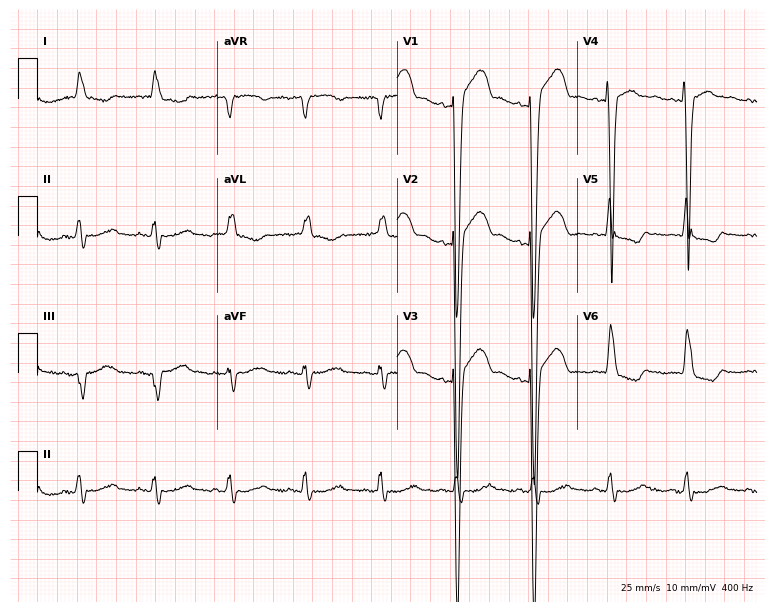
Standard 12-lead ECG recorded from a female, 83 years old (7.3-second recording at 400 Hz). The tracing shows left bundle branch block (LBBB).